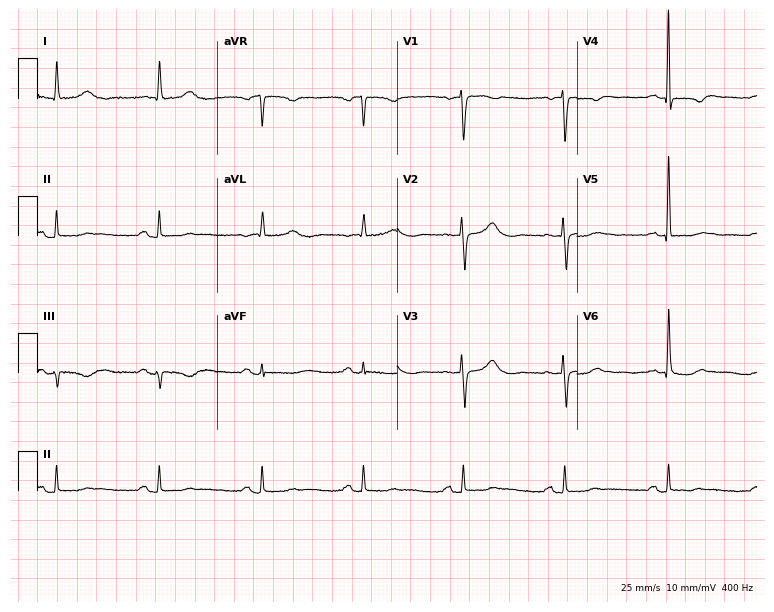
Resting 12-lead electrocardiogram. Patient: a 64-year-old female. None of these six findings is recorded: first-degree AV block, right bundle branch block, left bundle branch block, sinus bradycardia, atrial fibrillation, sinus tachycardia. Only these six findings were labelled.